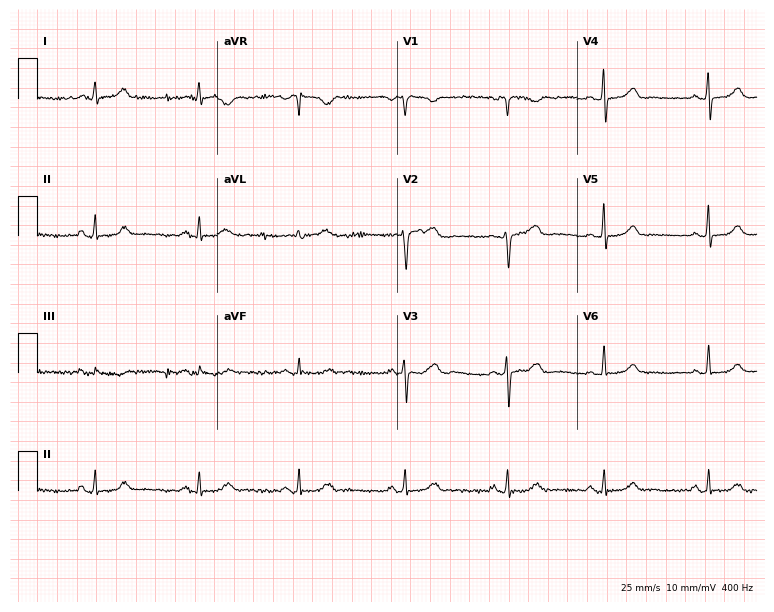
ECG (7.3-second recording at 400 Hz) — a 36-year-old female. Labelled as a normal ECG.